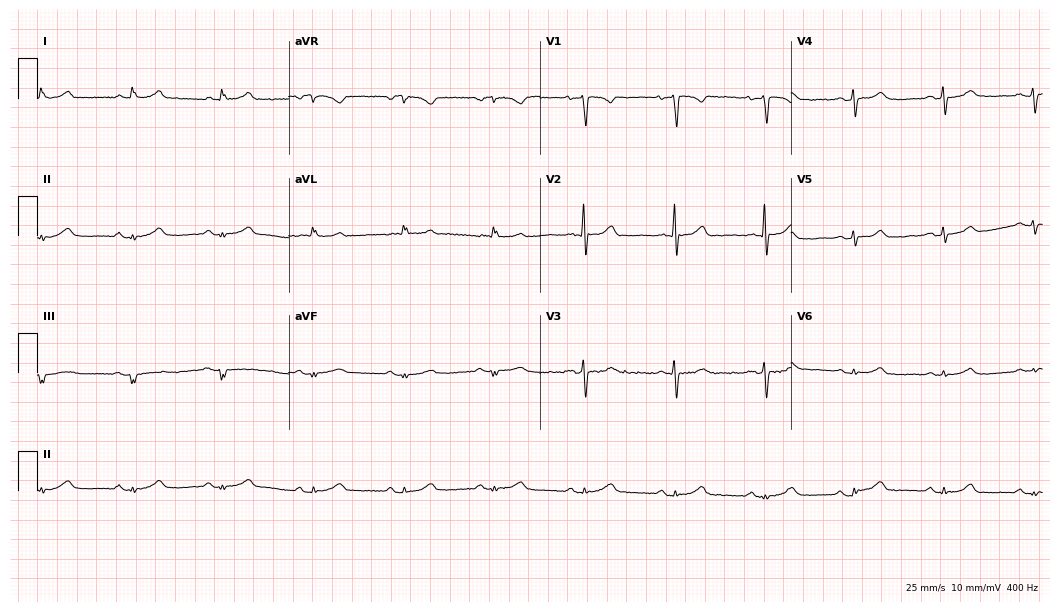
ECG — a female patient, 81 years old. Labelled as a normal ECG.